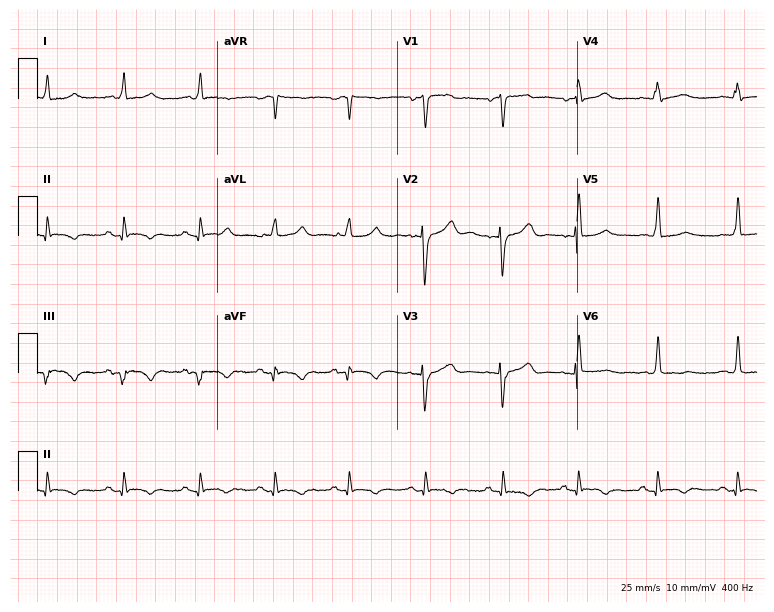
Electrocardiogram, a 64-year-old female. Of the six screened findings (first-degree AV block, right bundle branch block, left bundle branch block, sinus bradycardia, atrial fibrillation, sinus tachycardia), none is recorded. Findings outside these six are not listed.